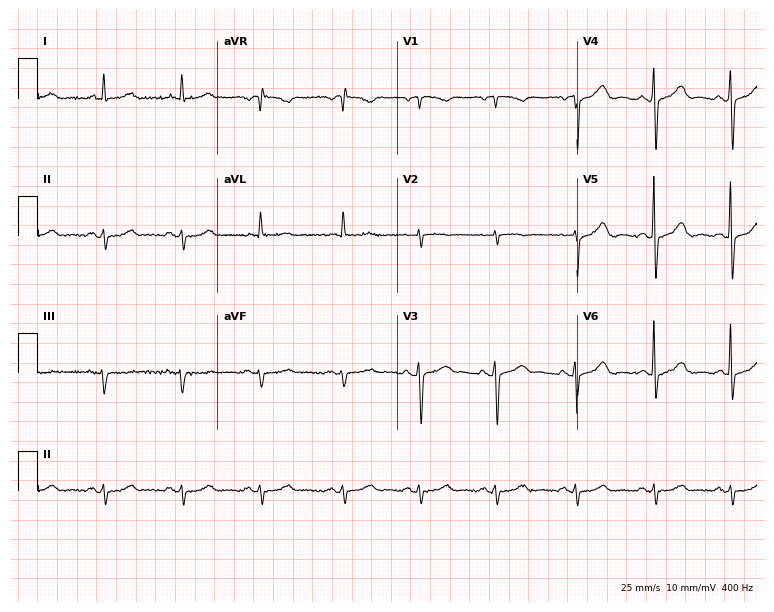
12-lead ECG from an 85-year-old female patient. No first-degree AV block, right bundle branch block, left bundle branch block, sinus bradycardia, atrial fibrillation or sinus tachycardia recorded for this tracing.